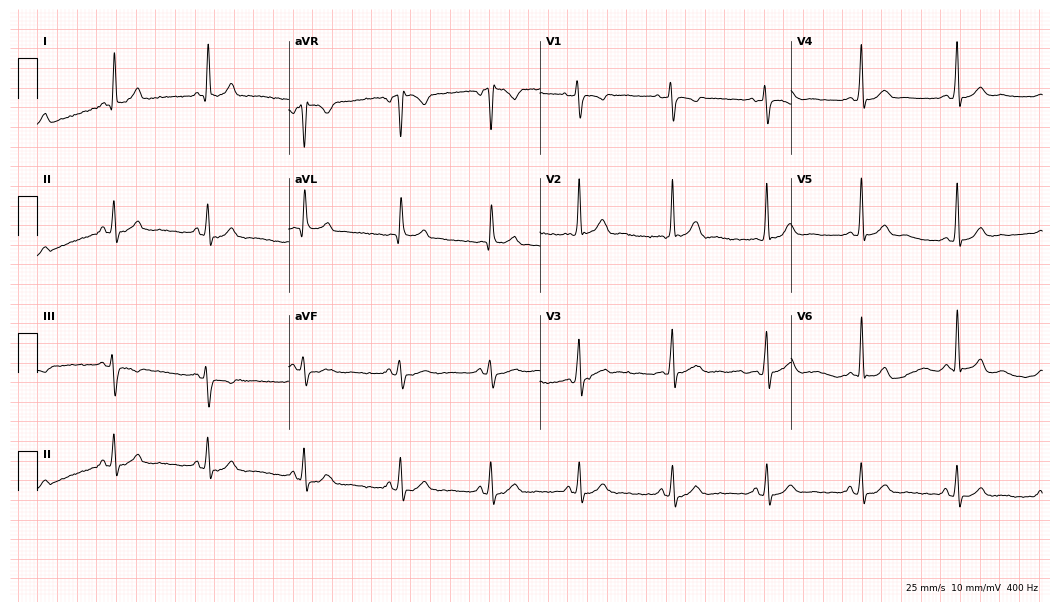
Standard 12-lead ECG recorded from a man, 58 years old (10.2-second recording at 400 Hz). Read as a normal ECG.